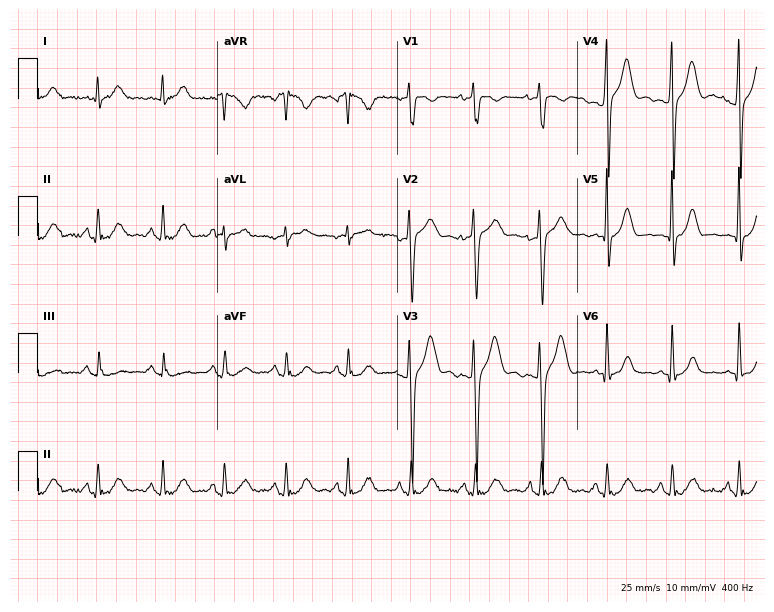
12-lead ECG from a 41-year-old man. Labelled as a normal ECG.